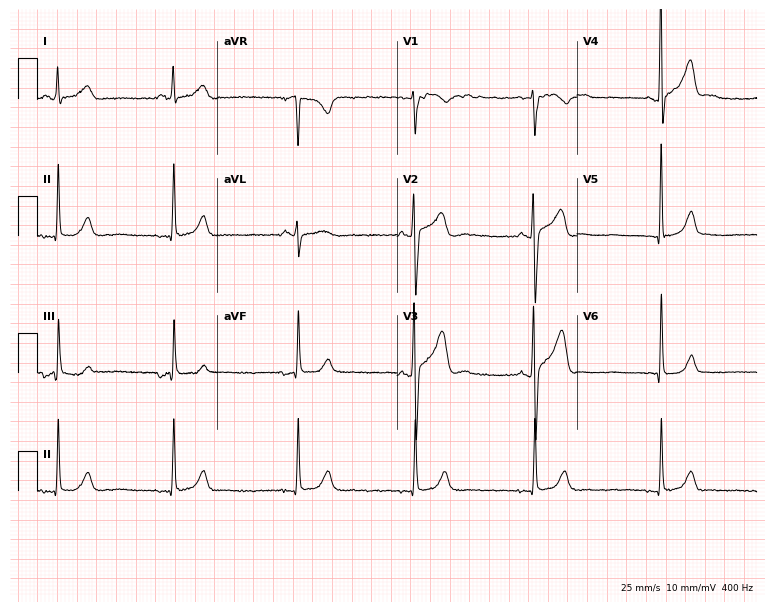
ECG (7.3-second recording at 400 Hz) — a male patient, 20 years old. Screened for six findings — first-degree AV block, right bundle branch block, left bundle branch block, sinus bradycardia, atrial fibrillation, sinus tachycardia — none is recorded. Other findings, if any, are not listed.